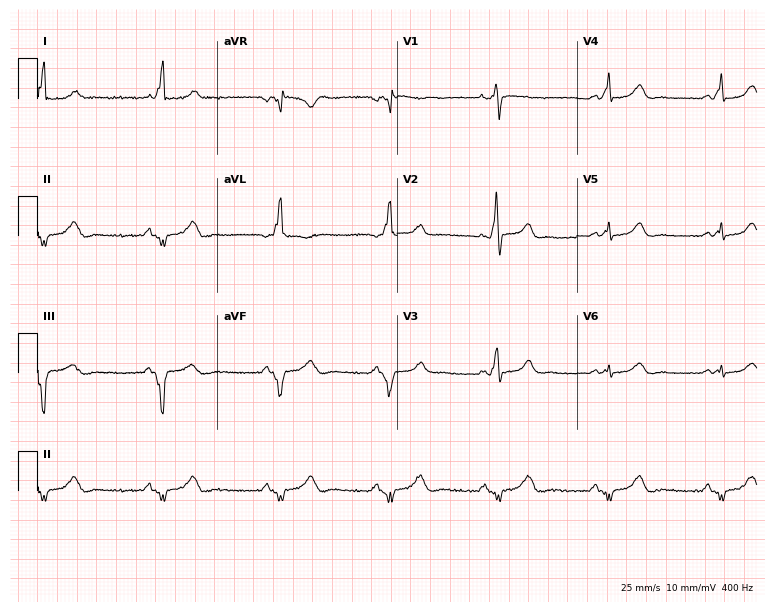
Electrocardiogram, a female, 49 years old. Of the six screened findings (first-degree AV block, right bundle branch block, left bundle branch block, sinus bradycardia, atrial fibrillation, sinus tachycardia), none is recorded. Other findings, if any, are not listed.